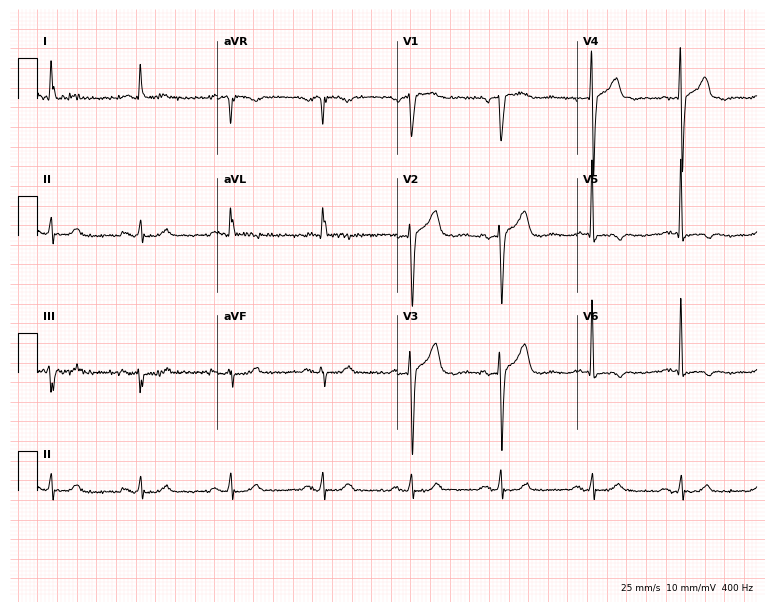
Standard 12-lead ECG recorded from a male patient, 79 years old (7.3-second recording at 400 Hz). None of these six findings is recorded: first-degree AV block, right bundle branch block, left bundle branch block, sinus bradycardia, atrial fibrillation, sinus tachycardia.